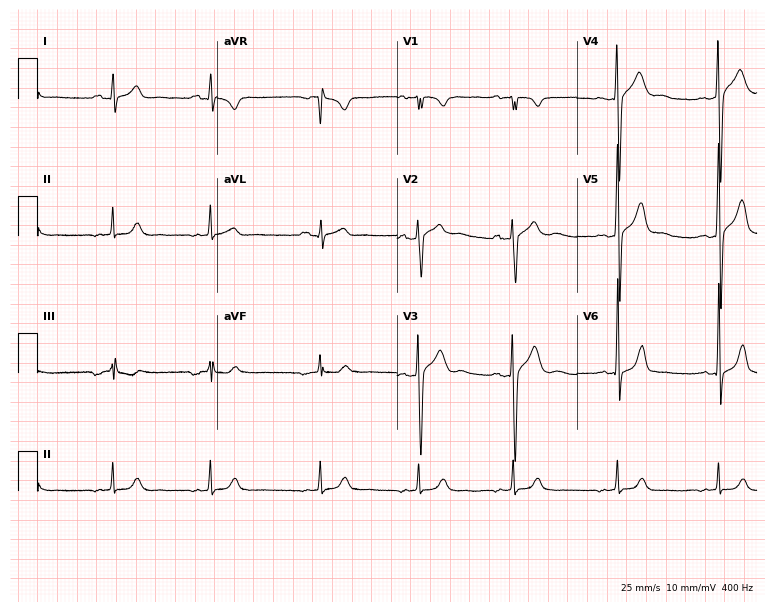
Resting 12-lead electrocardiogram (7.3-second recording at 400 Hz). Patient: a 20-year-old male. Read as a normal ECG.